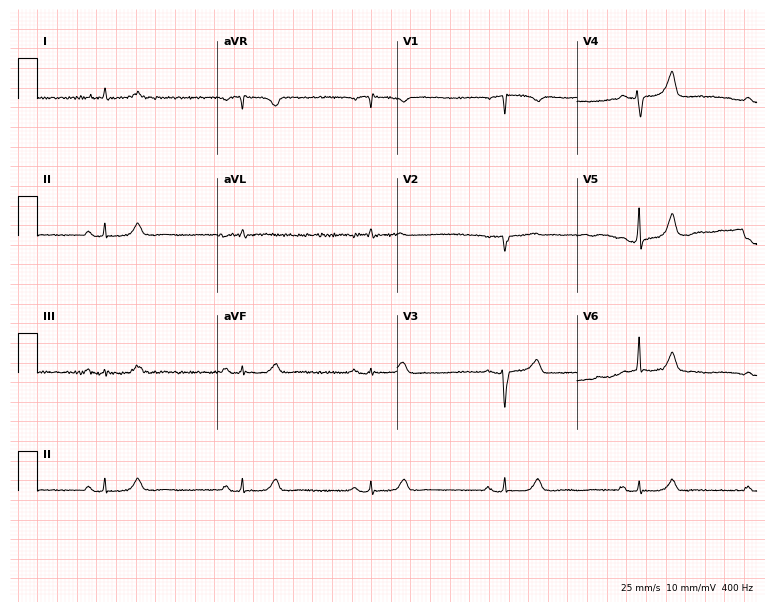
Resting 12-lead electrocardiogram. Patient: a 69-year-old female. The tracing shows sinus bradycardia (a sinus rate of 50 beats per minute or less).